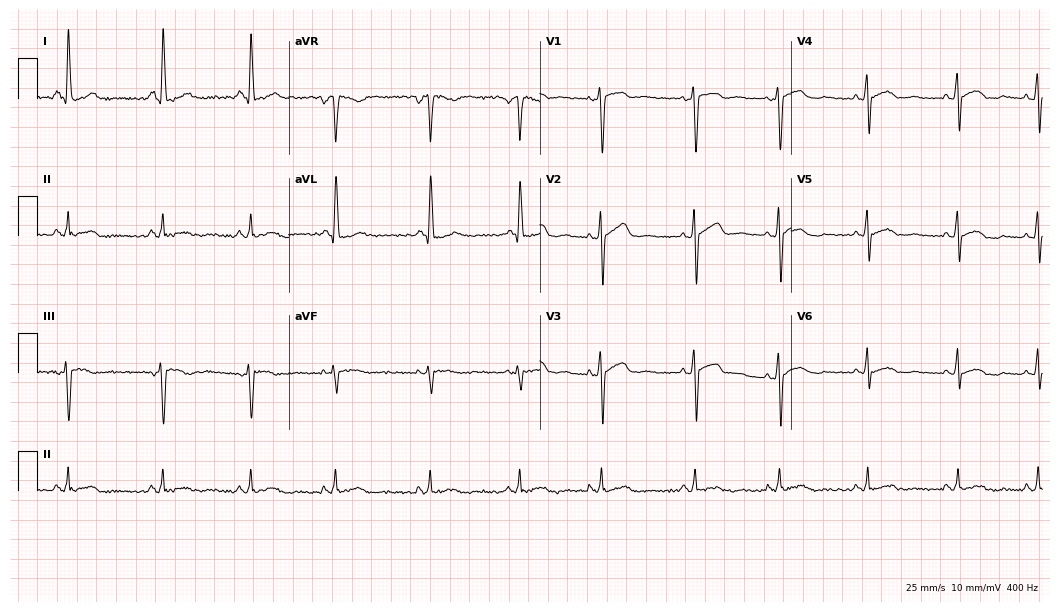
Standard 12-lead ECG recorded from a 21-year-old female patient. Read as a normal ECG.